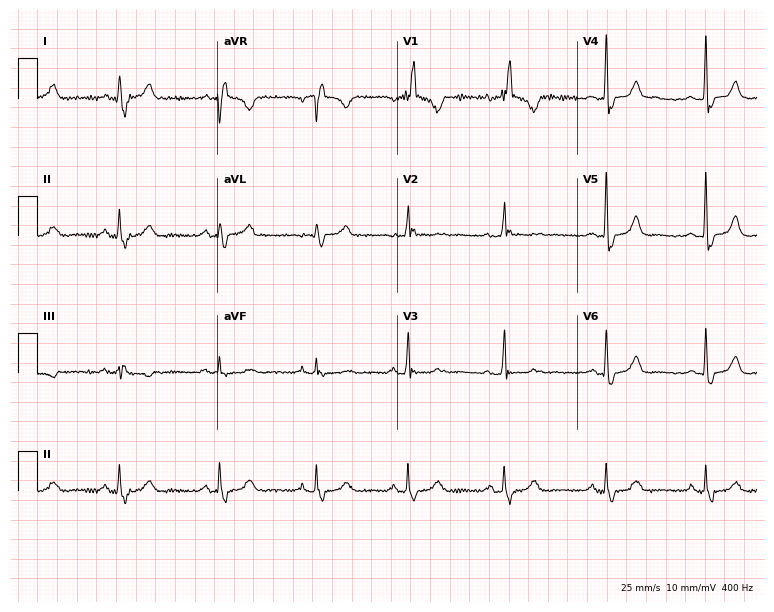
12-lead ECG (7.3-second recording at 400 Hz) from a 61-year-old woman. Findings include right bundle branch block.